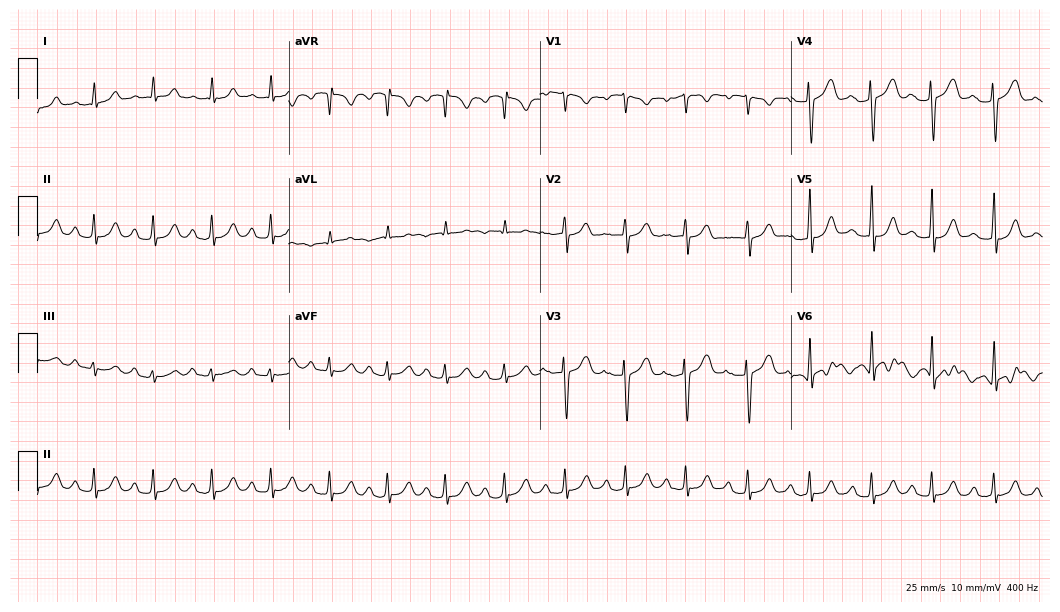
12-lead ECG from a 17-year-old woman (10.2-second recording at 400 Hz). Recorded interpretation: within normal limits.